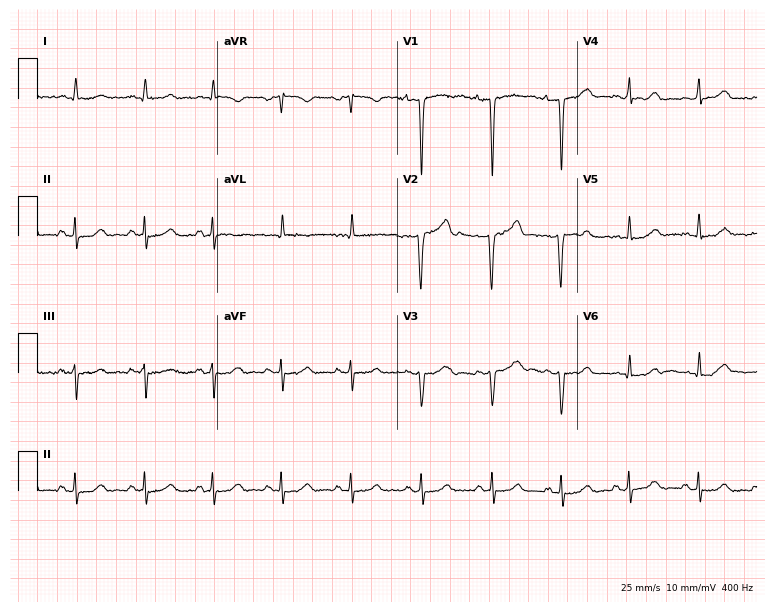
Standard 12-lead ECG recorded from a woman, 32 years old. Read as a normal ECG.